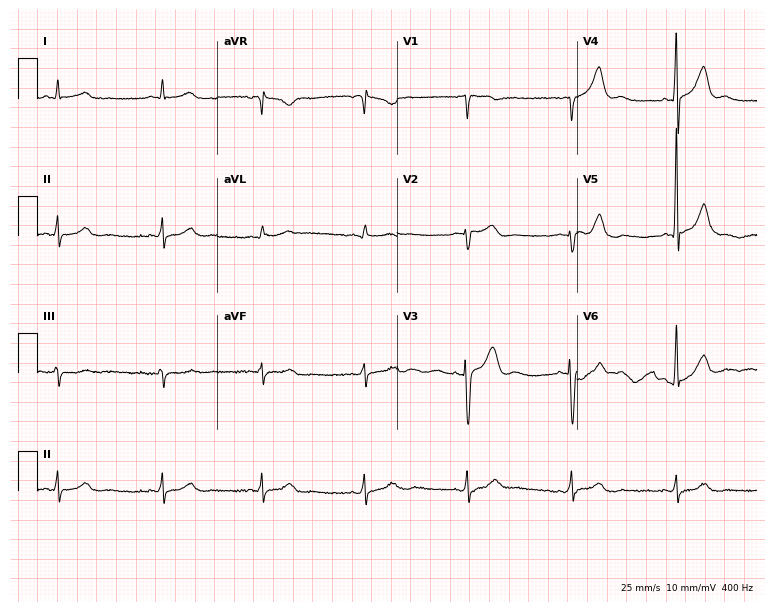
Resting 12-lead electrocardiogram (7.3-second recording at 400 Hz). Patient: a 65-year-old male. Read as a normal ECG.